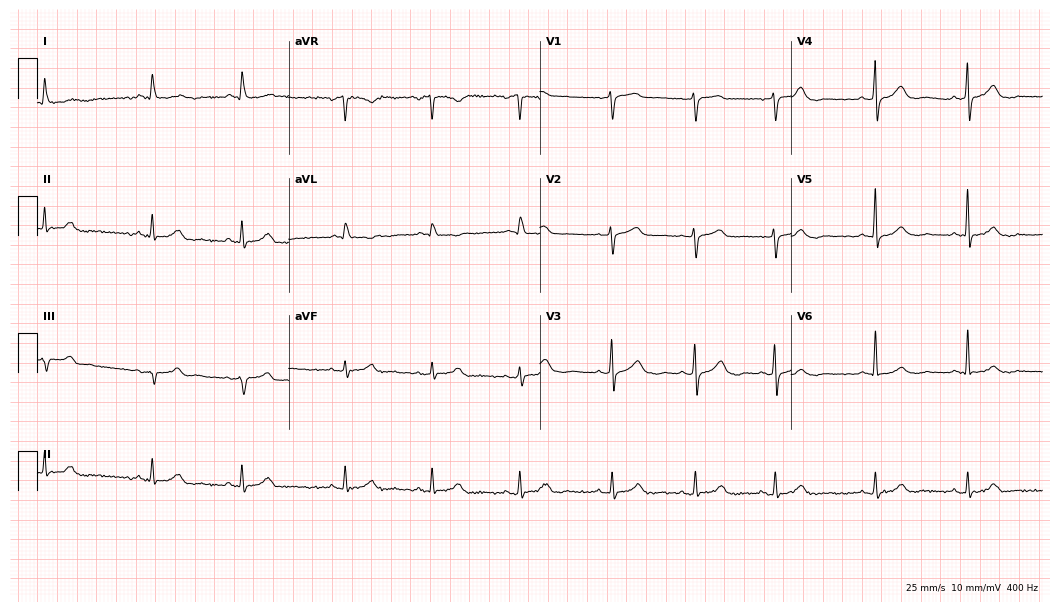
Electrocardiogram (10.2-second recording at 400 Hz), a female patient, 75 years old. Of the six screened findings (first-degree AV block, right bundle branch block (RBBB), left bundle branch block (LBBB), sinus bradycardia, atrial fibrillation (AF), sinus tachycardia), none is recorded. Other findings, if any, are not listed.